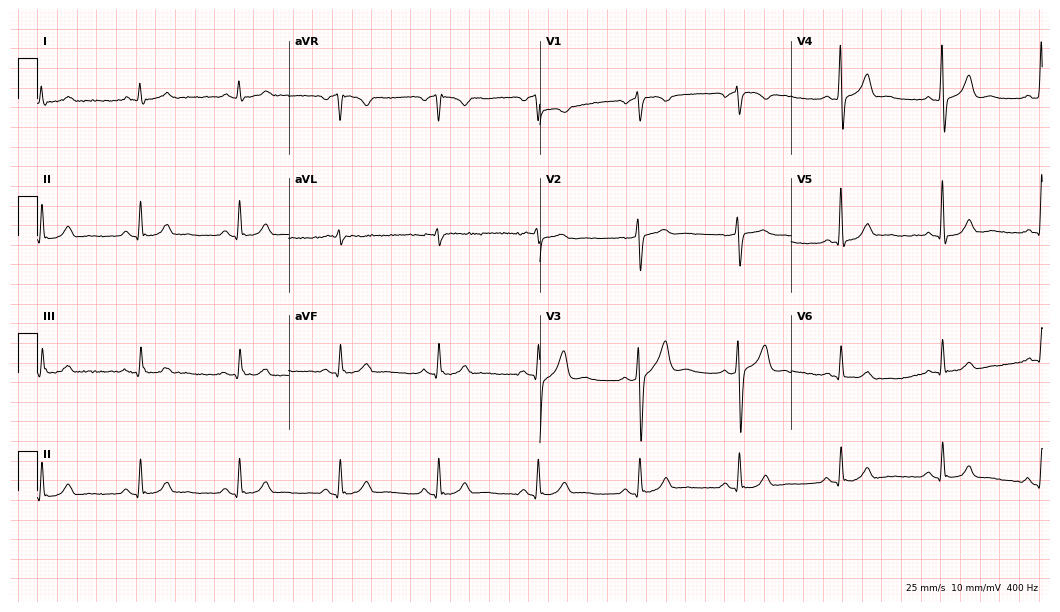
ECG (10.2-second recording at 400 Hz) — a man, 66 years old. Labelled as a normal ECG.